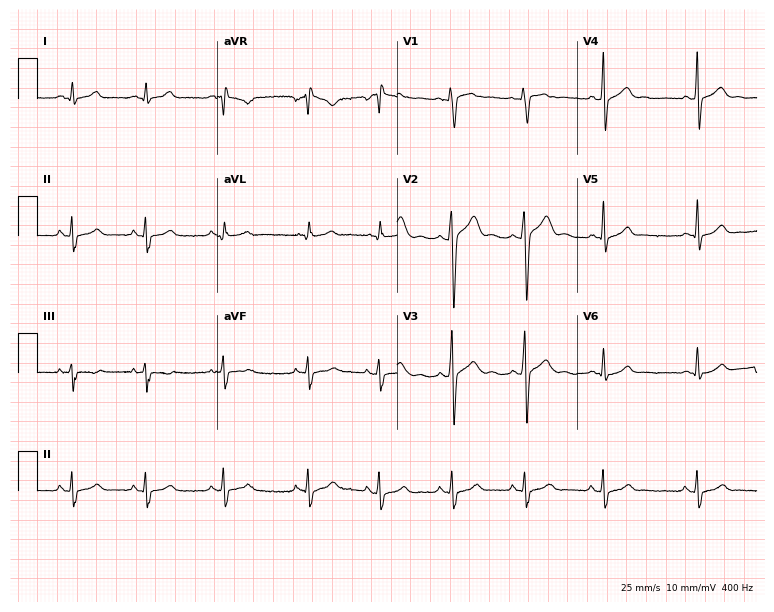
Electrocardiogram (7.3-second recording at 400 Hz), a male, 18 years old. Overall reading on record: normal ECG.